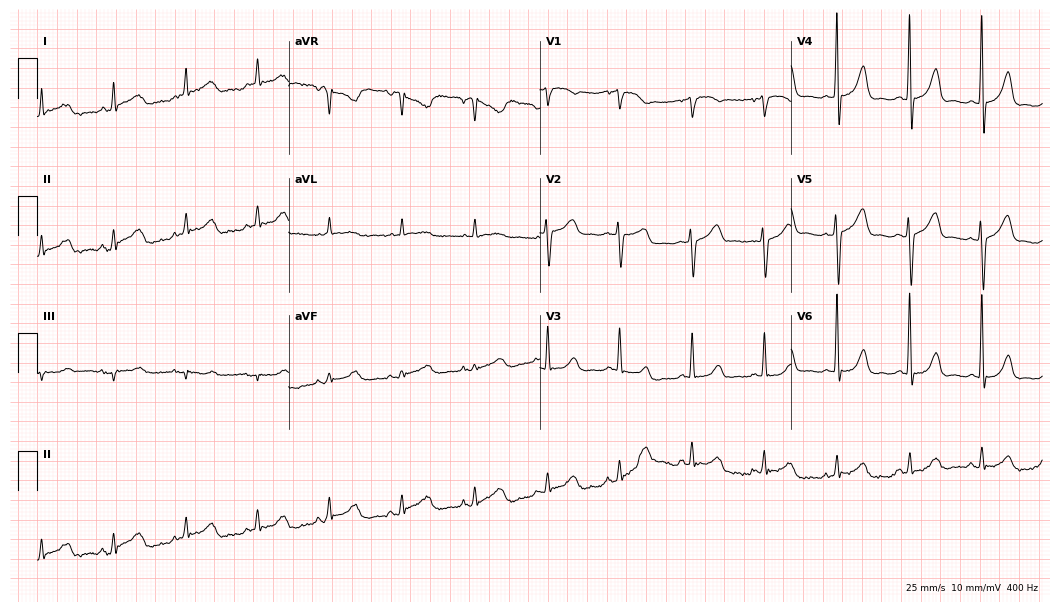
12-lead ECG (10.2-second recording at 400 Hz) from a female patient, 72 years old. Screened for six findings — first-degree AV block, right bundle branch block (RBBB), left bundle branch block (LBBB), sinus bradycardia, atrial fibrillation (AF), sinus tachycardia — none is recorded.